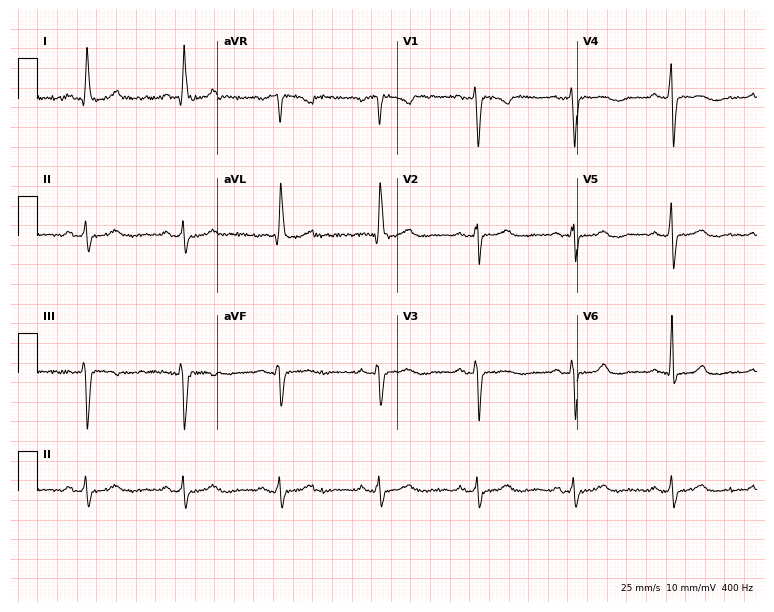
Electrocardiogram, a 56-year-old female patient. Of the six screened findings (first-degree AV block, right bundle branch block, left bundle branch block, sinus bradycardia, atrial fibrillation, sinus tachycardia), none is recorded.